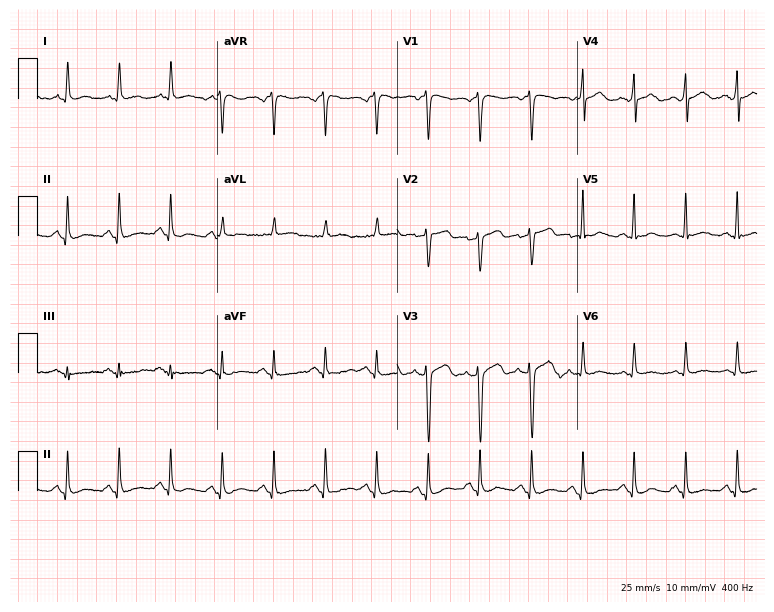
Standard 12-lead ECG recorded from a female, 53 years old (7.3-second recording at 400 Hz). None of these six findings is recorded: first-degree AV block, right bundle branch block, left bundle branch block, sinus bradycardia, atrial fibrillation, sinus tachycardia.